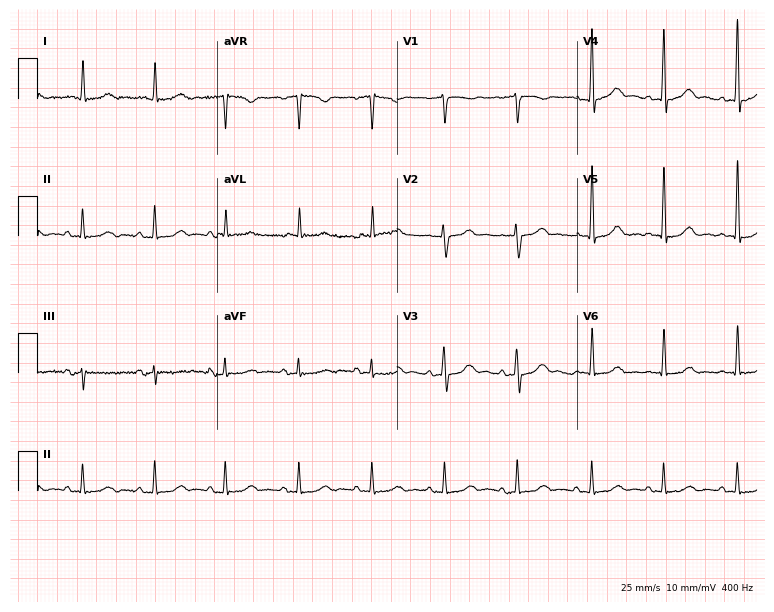
Standard 12-lead ECG recorded from a female, 83 years old. None of these six findings is recorded: first-degree AV block, right bundle branch block (RBBB), left bundle branch block (LBBB), sinus bradycardia, atrial fibrillation (AF), sinus tachycardia. Other findings, if any, are not listed.